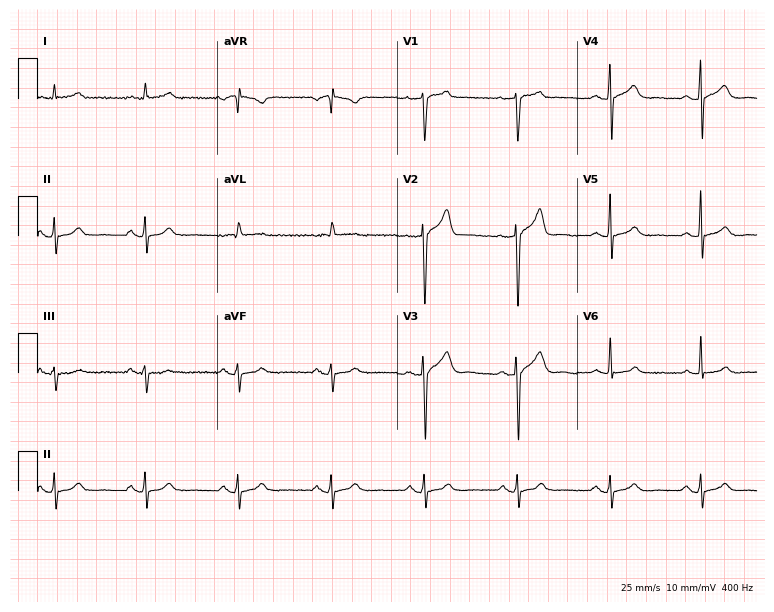
12-lead ECG from a man, 48 years old. Screened for six findings — first-degree AV block, right bundle branch block (RBBB), left bundle branch block (LBBB), sinus bradycardia, atrial fibrillation (AF), sinus tachycardia — none is recorded. Only these six findings were labelled.